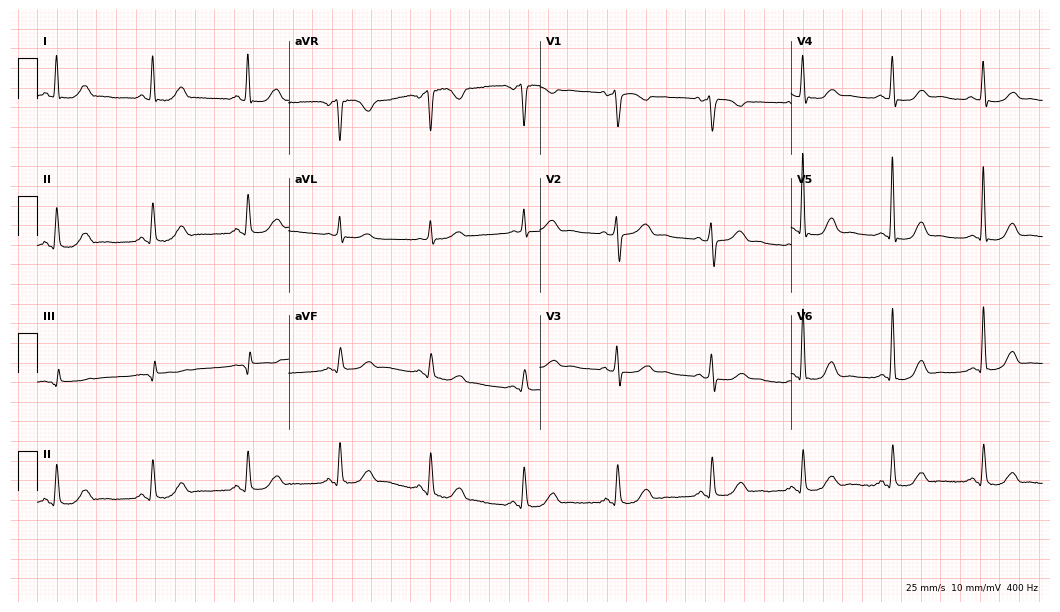
Electrocardiogram (10.2-second recording at 400 Hz), a 60-year-old female patient. Of the six screened findings (first-degree AV block, right bundle branch block, left bundle branch block, sinus bradycardia, atrial fibrillation, sinus tachycardia), none is recorded. Only these six findings were labelled.